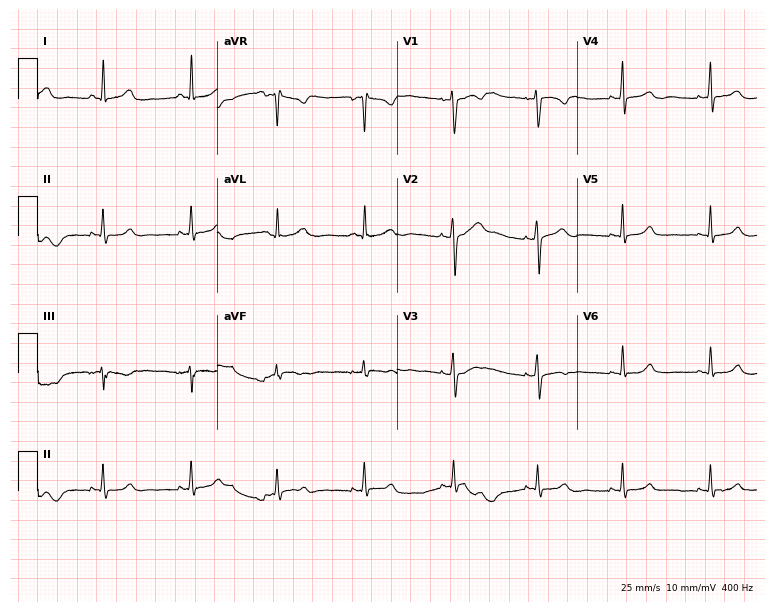
ECG — a female, 28 years old. Screened for six findings — first-degree AV block, right bundle branch block, left bundle branch block, sinus bradycardia, atrial fibrillation, sinus tachycardia — none is recorded.